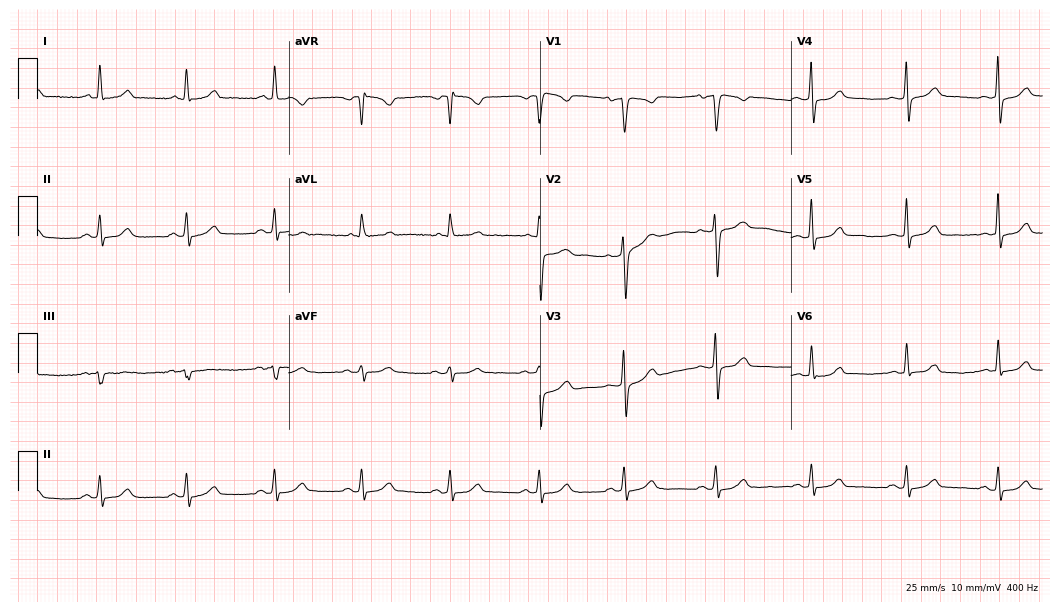
12-lead ECG (10.2-second recording at 400 Hz) from a female patient, 47 years old. Labelled as a normal ECG.